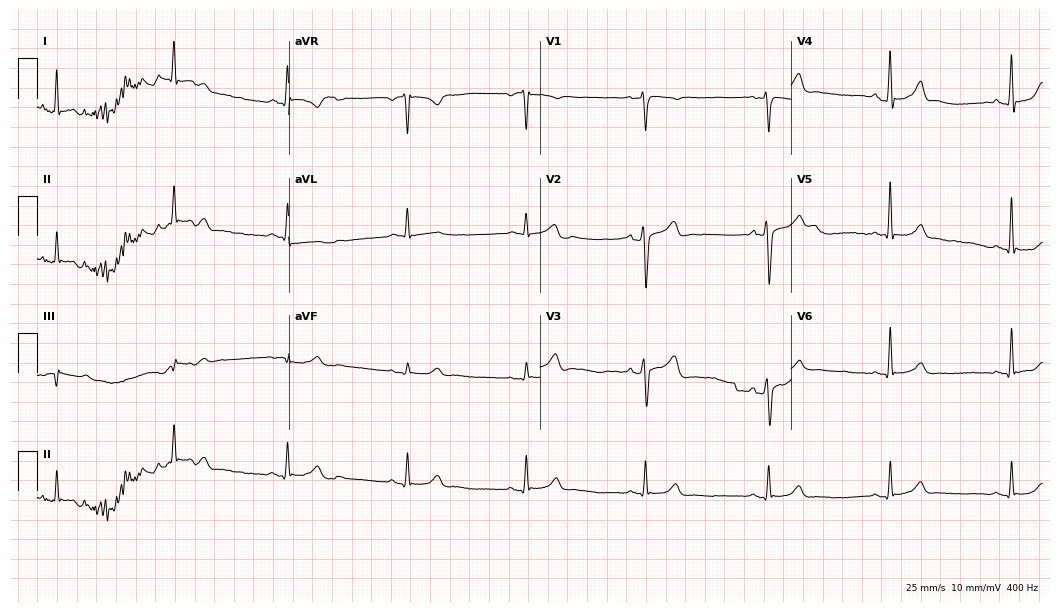
Standard 12-lead ECG recorded from a 62-year-old male (10.2-second recording at 400 Hz). None of these six findings is recorded: first-degree AV block, right bundle branch block, left bundle branch block, sinus bradycardia, atrial fibrillation, sinus tachycardia. Only these six findings were labelled.